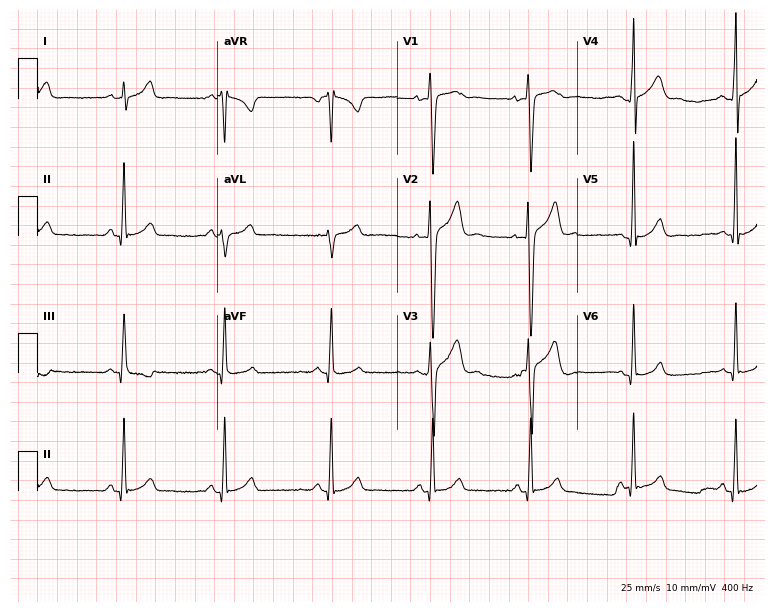
Electrocardiogram (7.3-second recording at 400 Hz), a 17-year-old man. Of the six screened findings (first-degree AV block, right bundle branch block, left bundle branch block, sinus bradycardia, atrial fibrillation, sinus tachycardia), none is recorded. Findings outside these six are not listed.